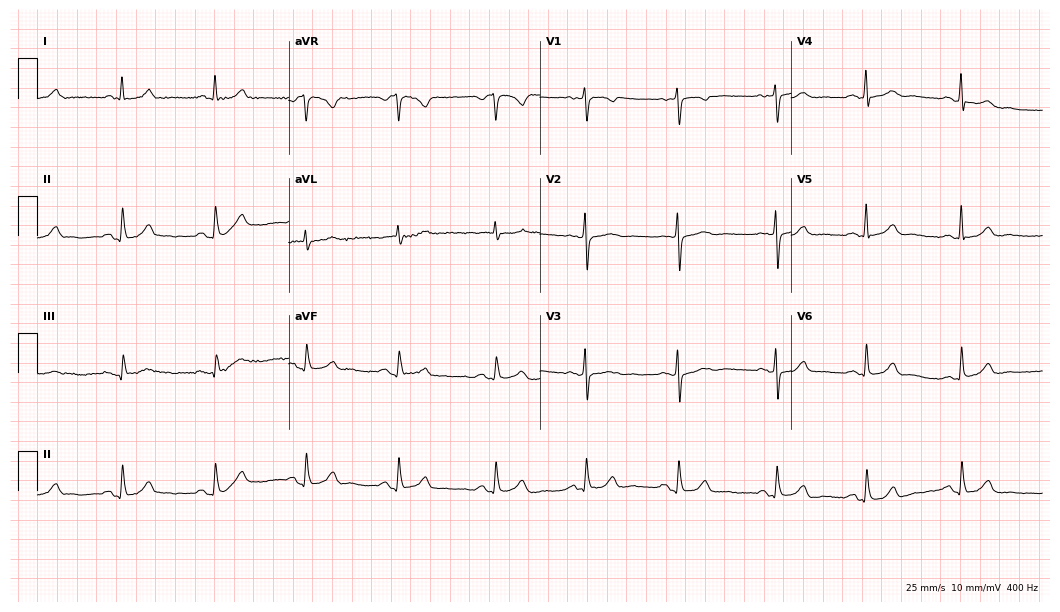
Standard 12-lead ECG recorded from a female, 68 years old. Read as a normal ECG.